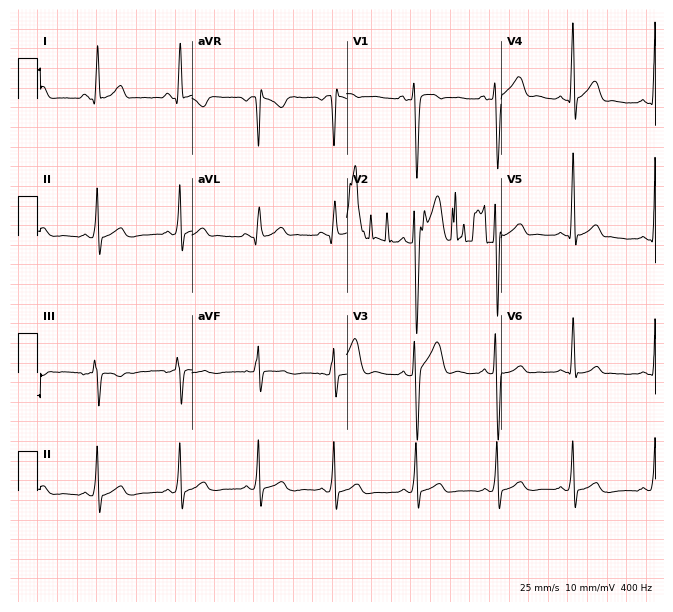
12-lead ECG from a male patient, 17 years old. Screened for six findings — first-degree AV block, right bundle branch block, left bundle branch block, sinus bradycardia, atrial fibrillation, sinus tachycardia — none is recorded.